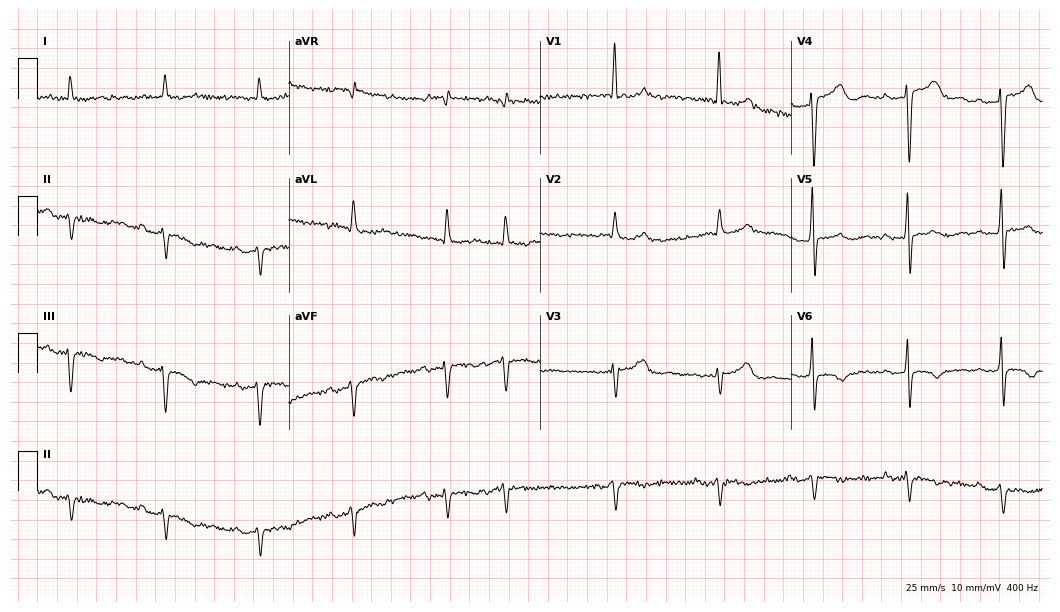
12-lead ECG from a 72-year-old female patient. No first-degree AV block, right bundle branch block, left bundle branch block, sinus bradycardia, atrial fibrillation or sinus tachycardia recorded for this tracing.